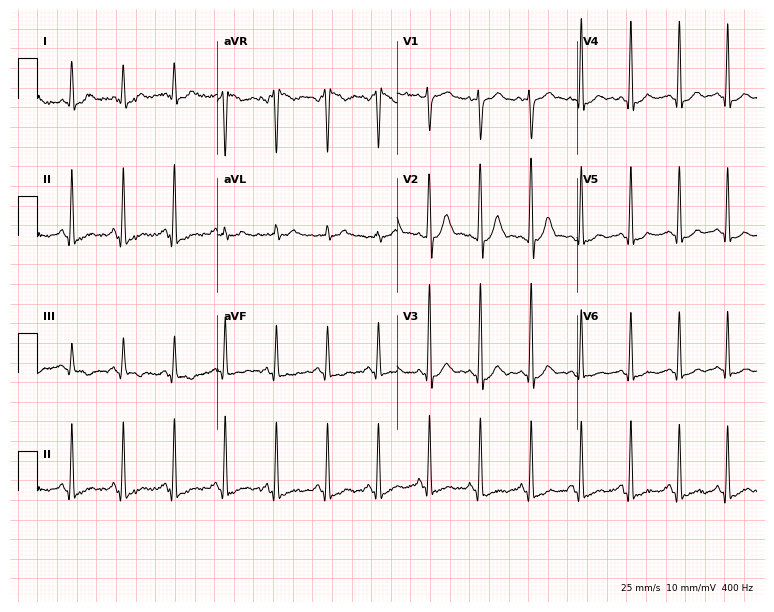
Resting 12-lead electrocardiogram (7.3-second recording at 400 Hz). Patient: a 24-year-old male. None of these six findings is recorded: first-degree AV block, right bundle branch block (RBBB), left bundle branch block (LBBB), sinus bradycardia, atrial fibrillation (AF), sinus tachycardia.